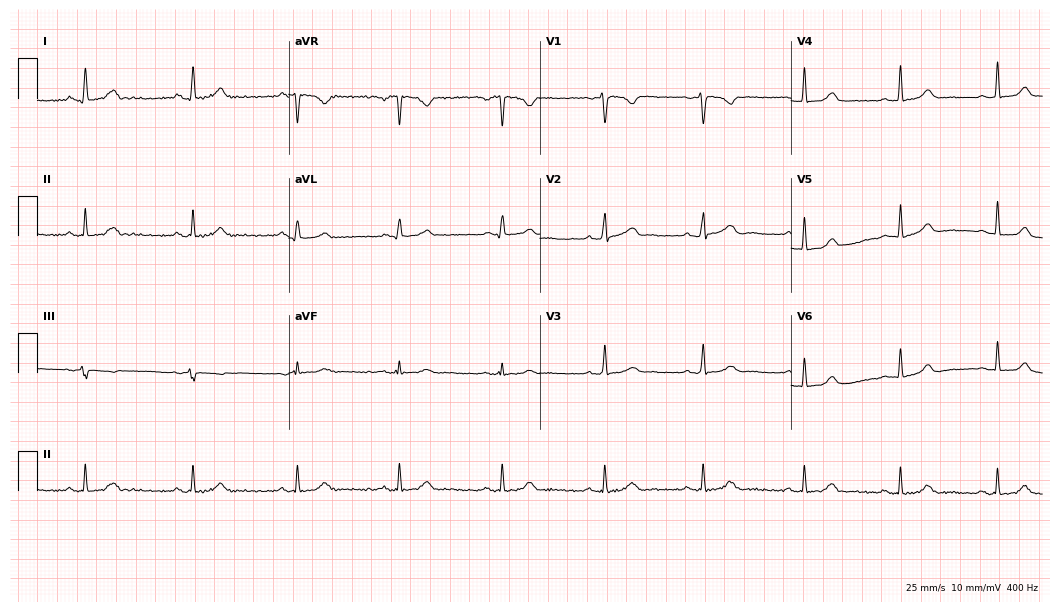
ECG — a 36-year-old female. Labelled as a normal ECG.